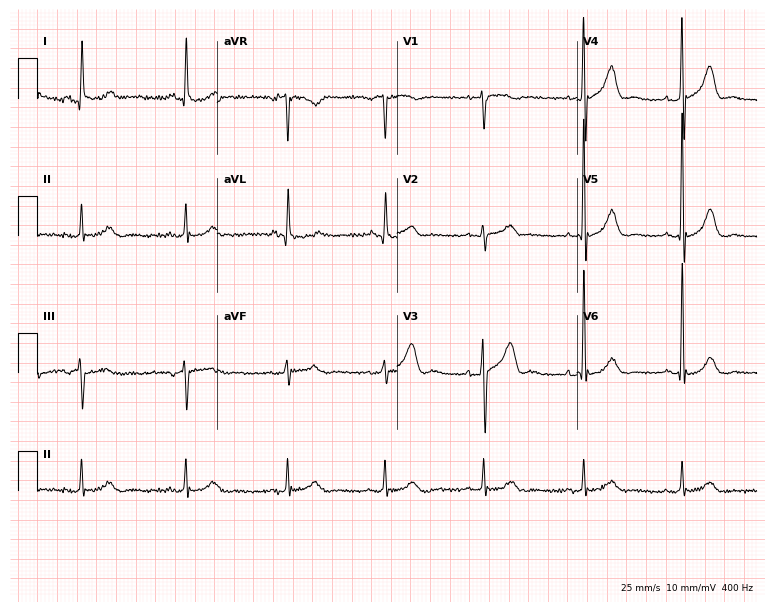
Electrocardiogram, a 65-year-old male. Overall reading on record: normal ECG.